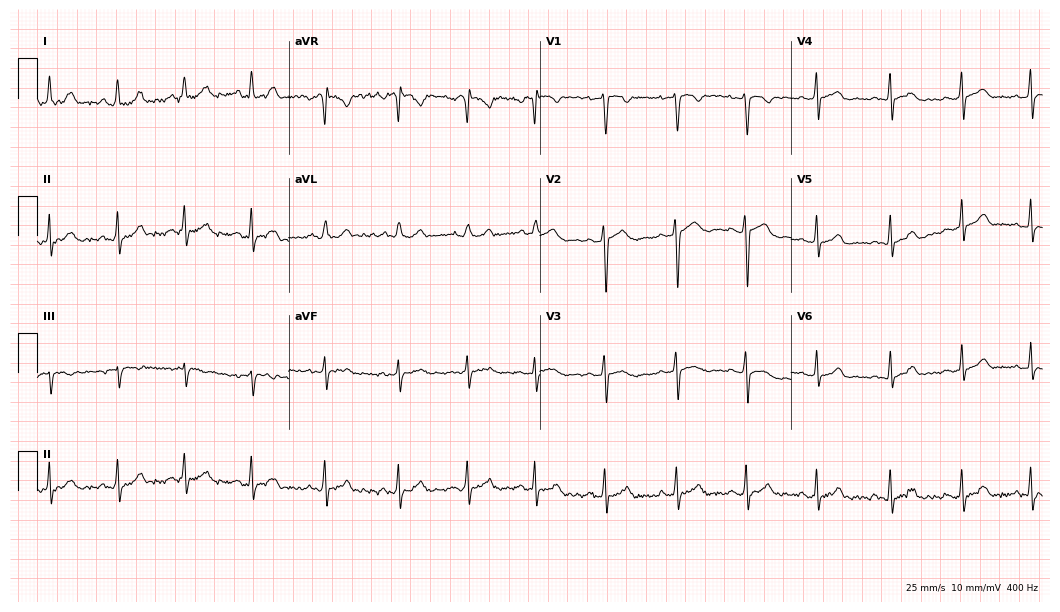
ECG — a woman, 23 years old. Labelled as a normal ECG.